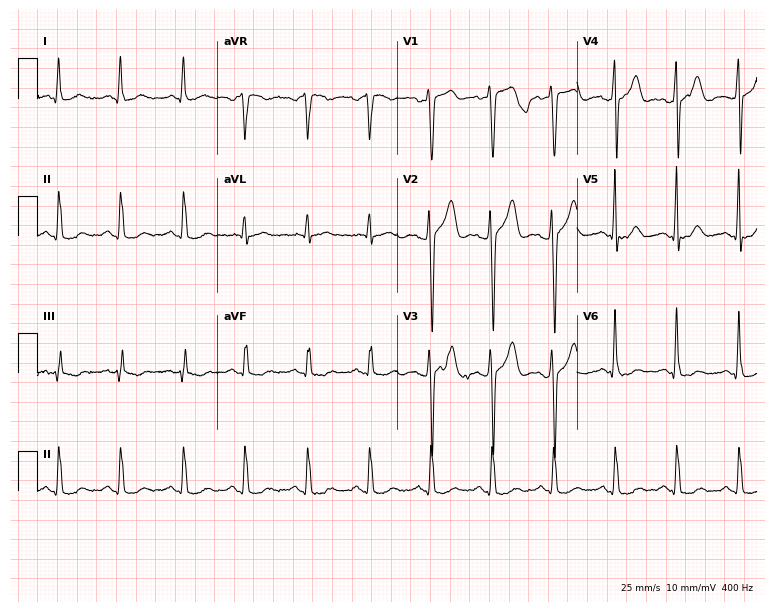
Electrocardiogram (7.3-second recording at 400 Hz), a male, 61 years old. Of the six screened findings (first-degree AV block, right bundle branch block, left bundle branch block, sinus bradycardia, atrial fibrillation, sinus tachycardia), none is recorded. Only these six findings were labelled.